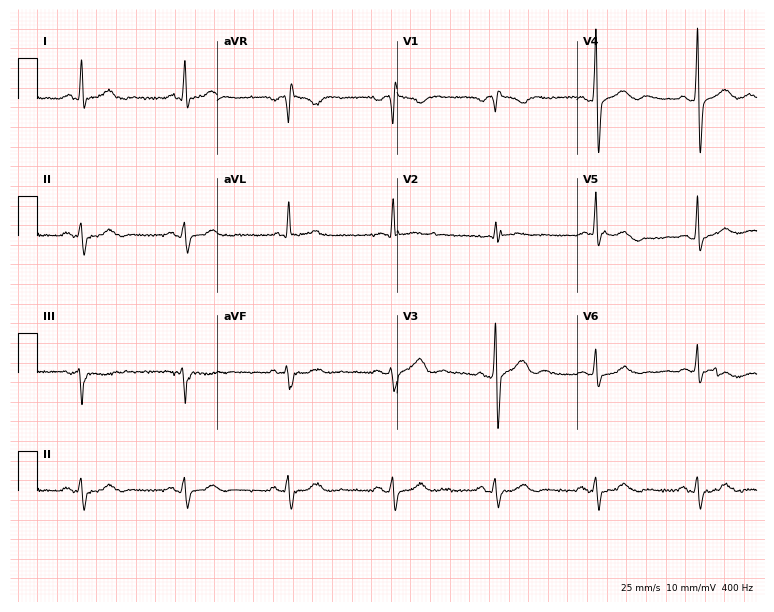
Standard 12-lead ECG recorded from a male, 79 years old (7.3-second recording at 400 Hz). None of these six findings is recorded: first-degree AV block, right bundle branch block, left bundle branch block, sinus bradycardia, atrial fibrillation, sinus tachycardia. Other findings, if any, are not listed.